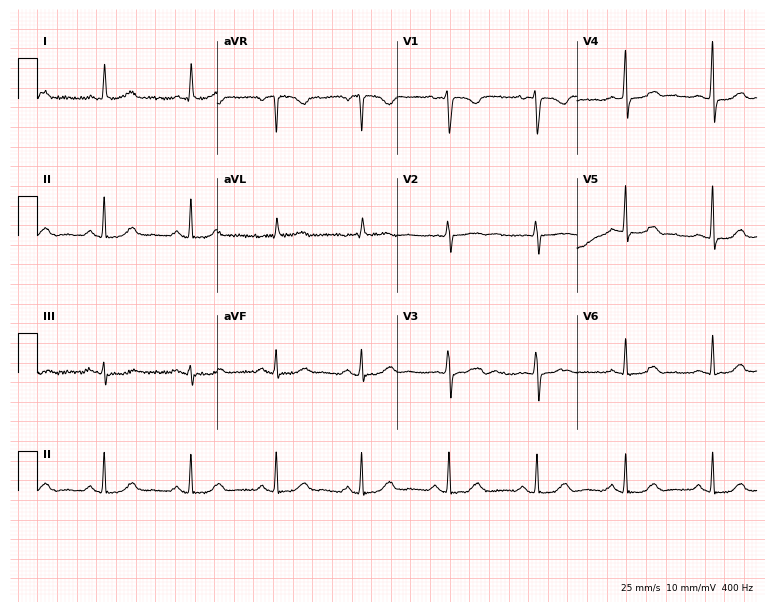
12-lead ECG from a female patient, 46 years old. Recorded interpretation: within normal limits.